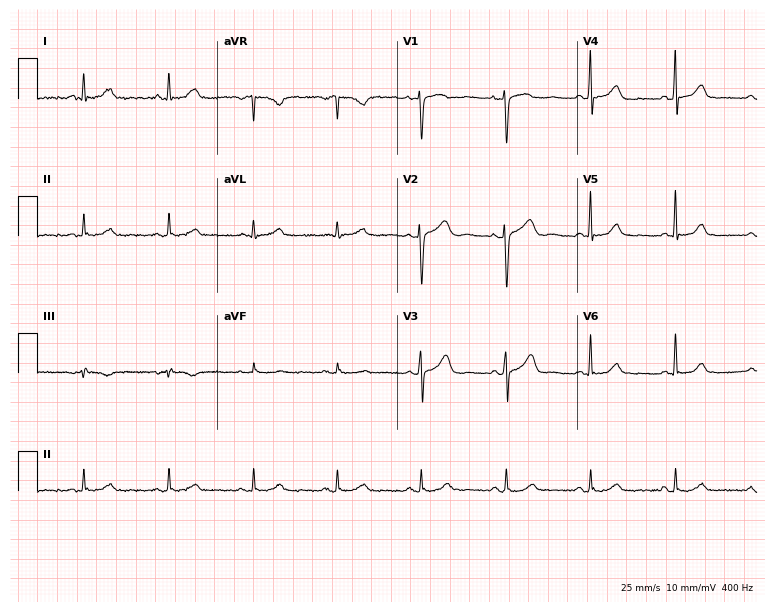
Electrocardiogram (7.3-second recording at 400 Hz), a woman, 60 years old. Of the six screened findings (first-degree AV block, right bundle branch block, left bundle branch block, sinus bradycardia, atrial fibrillation, sinus tachycardia), none is recorded. Only these six findings were labelled.